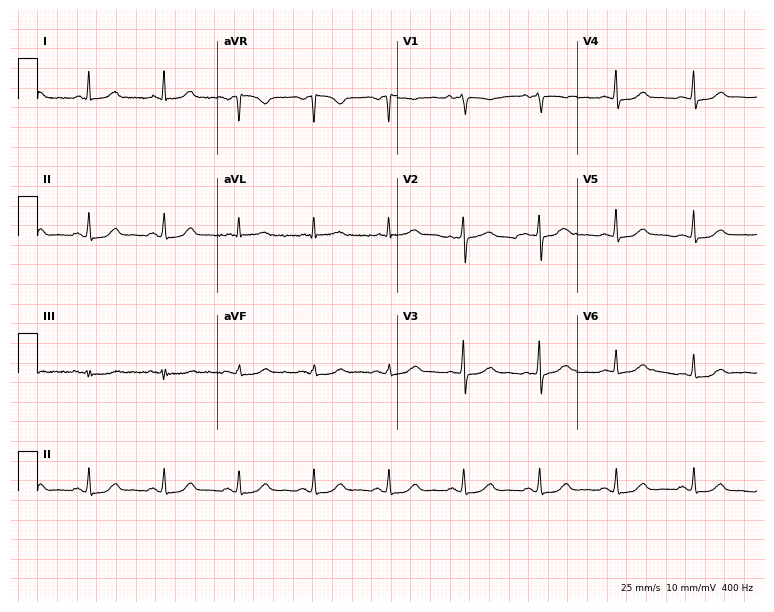
12-lead ECG from a female, 59 years old (7.3-second recording at 400 Hz). No first-degree AV block, right bundle branch block, left bundle branch block, sinus bradycardia, atrial fibrillation or sinus tachycardia recorded for this tracing. Only these six findings were labelled.